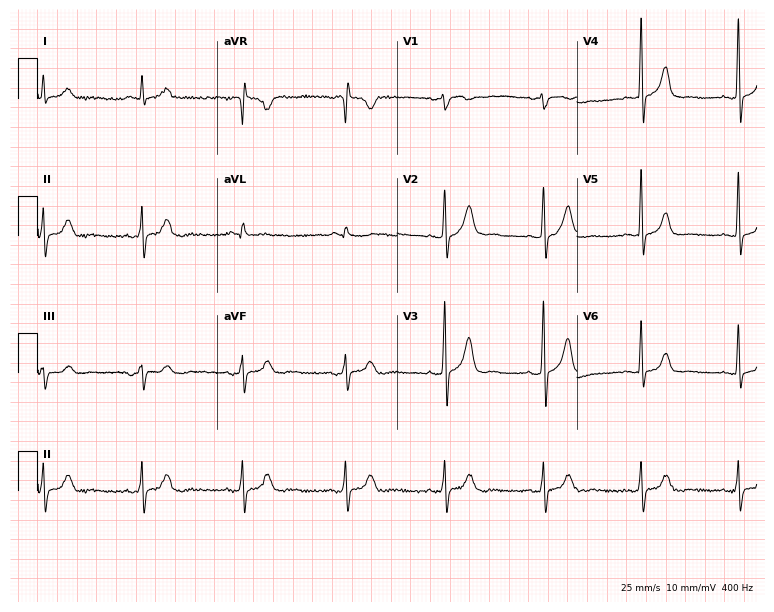
12-lead ECG from a man, 73 years old. Screened for six findings — first-degree AV block, right bundle branch block, left bundle branch block, sinus bradycardia, atrial fibrillation, sinus tachycardia — none is recorded.